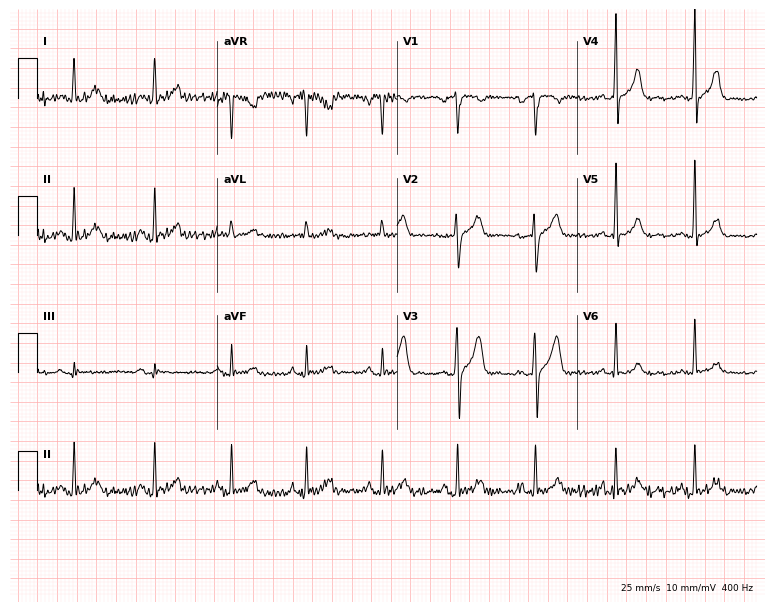
12-lead ECG from a male, 31 years old (7.3-second recording at 400 Hz). Recorded interpretation: within normal limits.